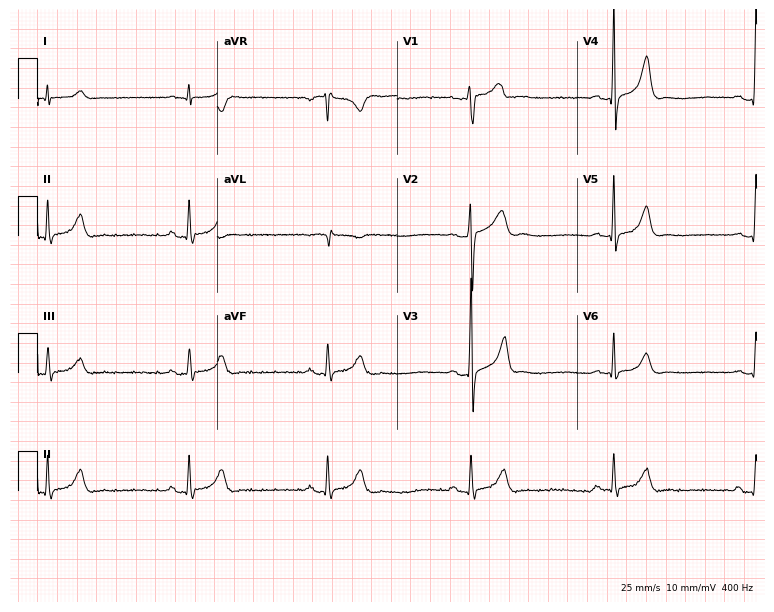
Electrocardiogram, a 48-year-old man. Of the six screened findings (first-degree AV block, right bundle branch block, left bundle branch block, sinus bradycardia, atrial fibrillation, sinus tachycardia), none is recorded. Only these six findings were labelled.